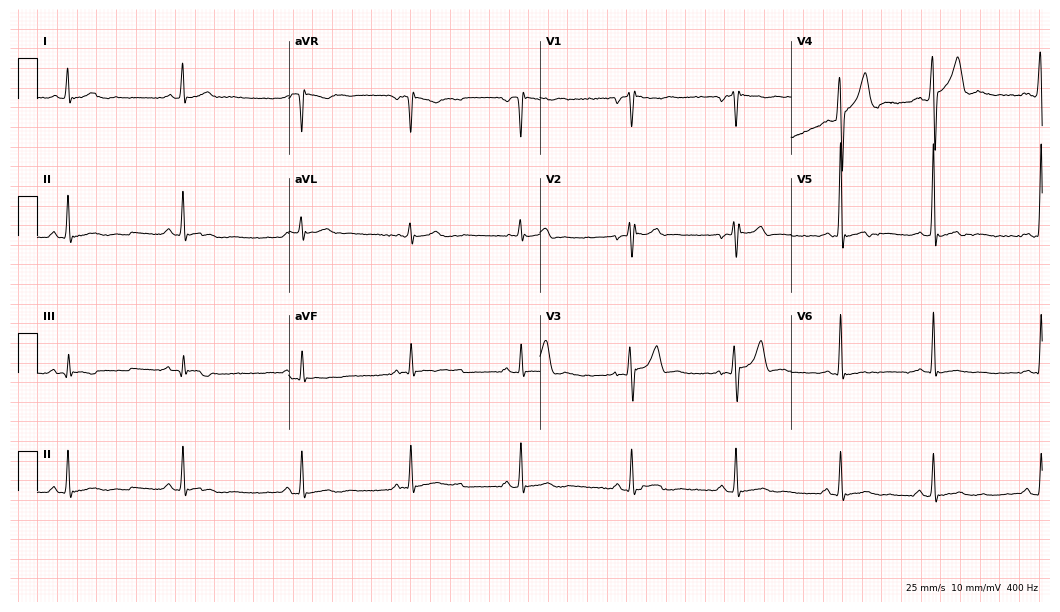
Electrocardiogram, an 18-year-old male. Of the six screened findings (first-degree AV block, right bundle branch block, left bundle branch block, sinus bradycardia, atrial fibrillation, sinus tachycardia), none is recorded. Other findings, if any, are not listed.